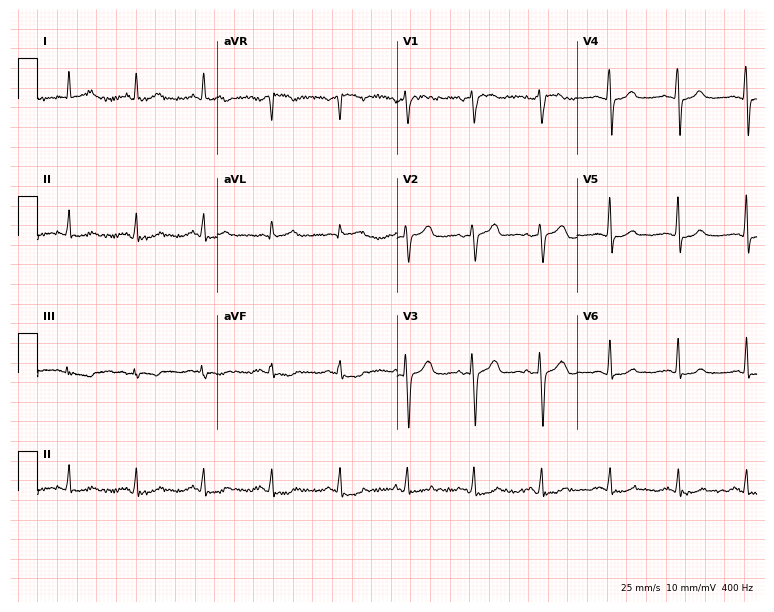
12-lead ECG from a female patient, 57 years old. No first-degree AV block, right bundle branch block, left bundle branch block, sinus bradycardia, atrial fibrillation or sinus tachycardia recorded for this tracing.